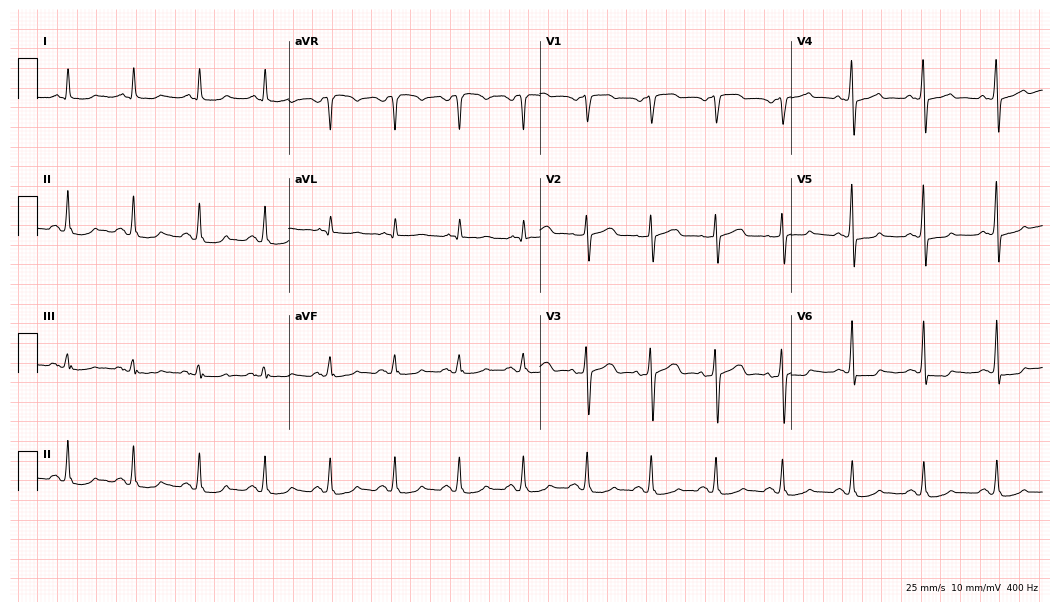
Electrocardiogram, a 74-year-old male patient. Of the six screened findings (first-degree AV block, right bundle branch block, left bundle branch block, sinus bradycardia, atrial fibrillation, sinus tachycardia), none is recorded.